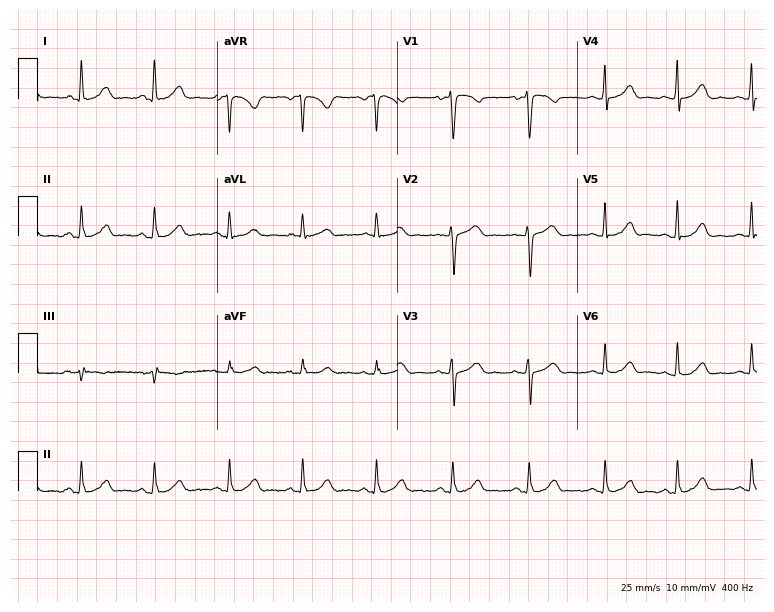
Standard 12-lead ECG recorded from a woman, 27 years old. Read as a normal ECG.